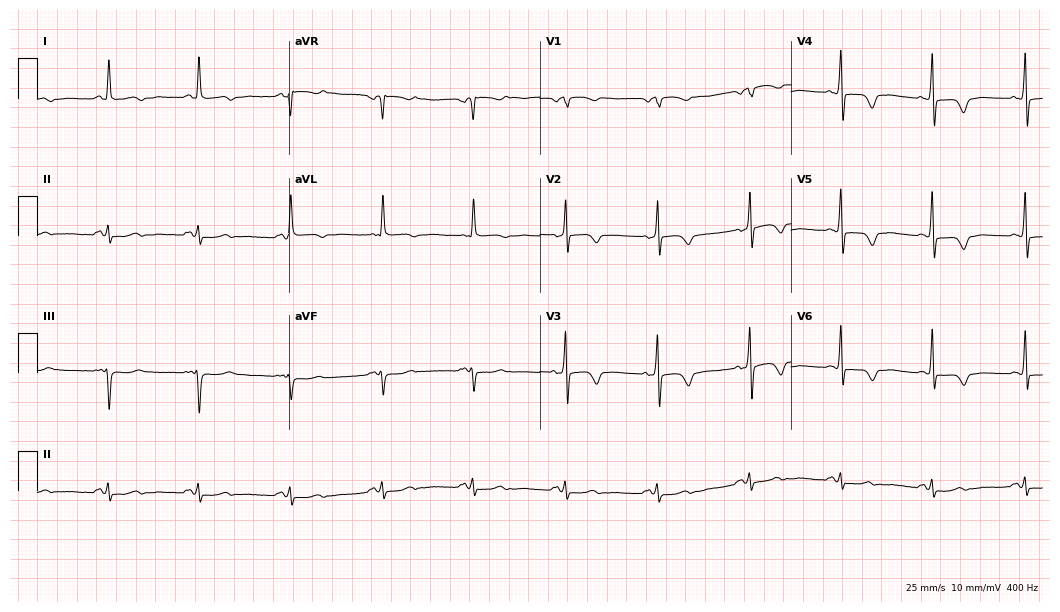
Electrocardiogram, a 79-year-old female patient. Of the six screened findings (first-degree AV block, right bundle branch block, left bundle branch block, sinus bradycardia, atrial fibrillation, sinus tachycardia), none is recorded. Findings outside these six are not listed.